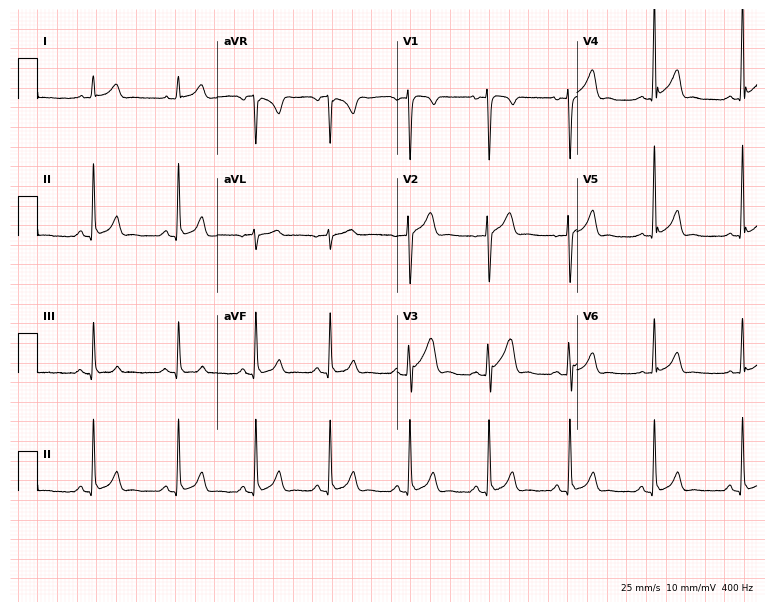
12-lead ECG from a 28-year-old male patient. Labelled as a normal ECG.